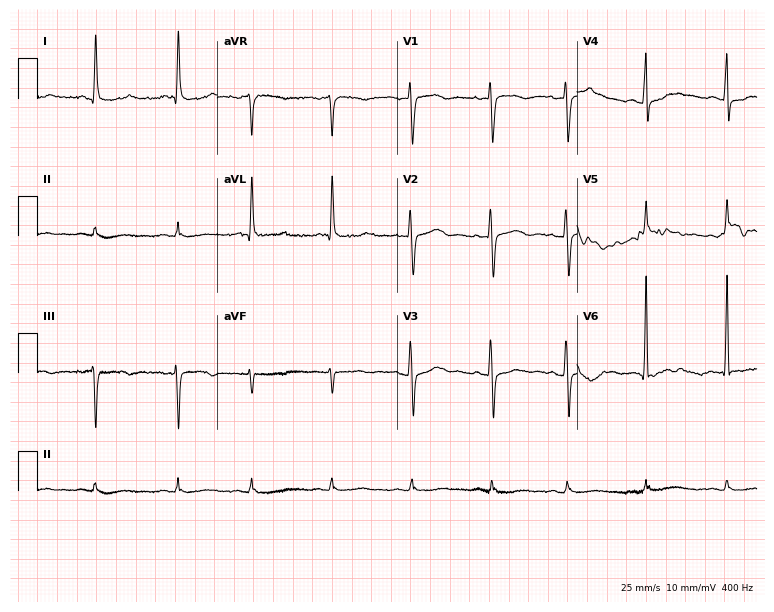
12-lead ECG from a female, 77 years old (7.3-second recording at 400 Hz). Recorded interpretation: within normal limits.